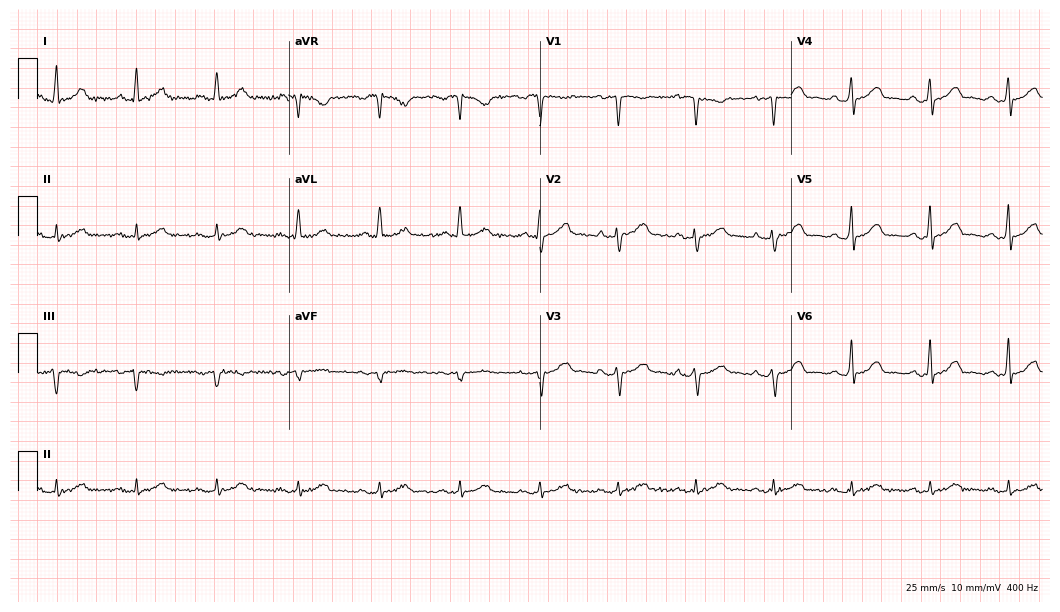
Standard 12-lead ECG recorded from a man, 58 years old. None of these six findings is recorded: first-degree AV block, right bundle branch block, left bundle branch block, sinus bradycardia, atrial fibrillation, sinus tachycardia. Other findings, if any, are not listed.